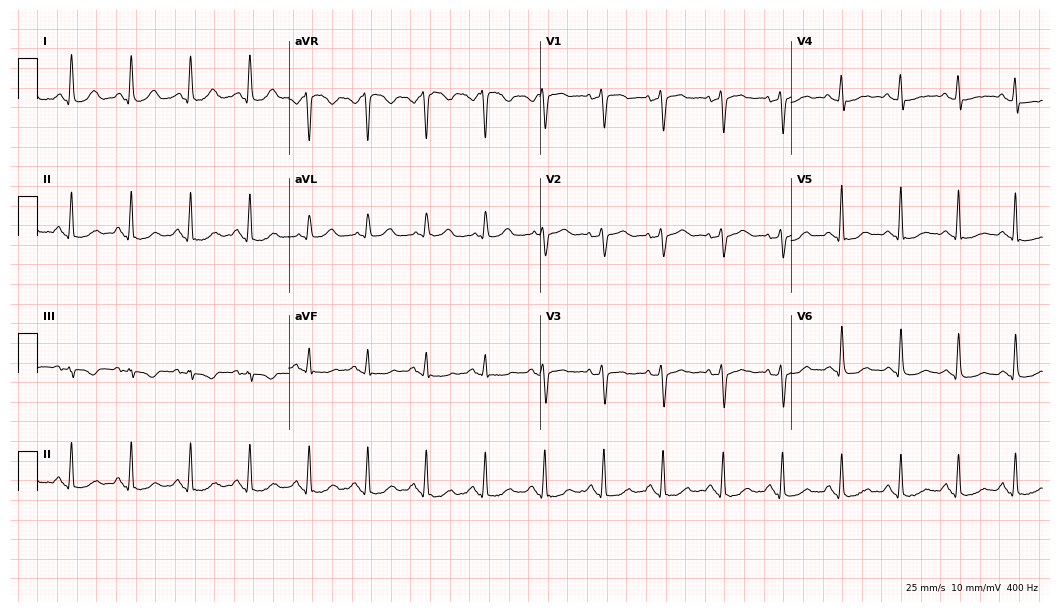
ECG (10.2-second recording at 400 Hz) — a female patient, 64 years old. Labelled as a normal ECG.